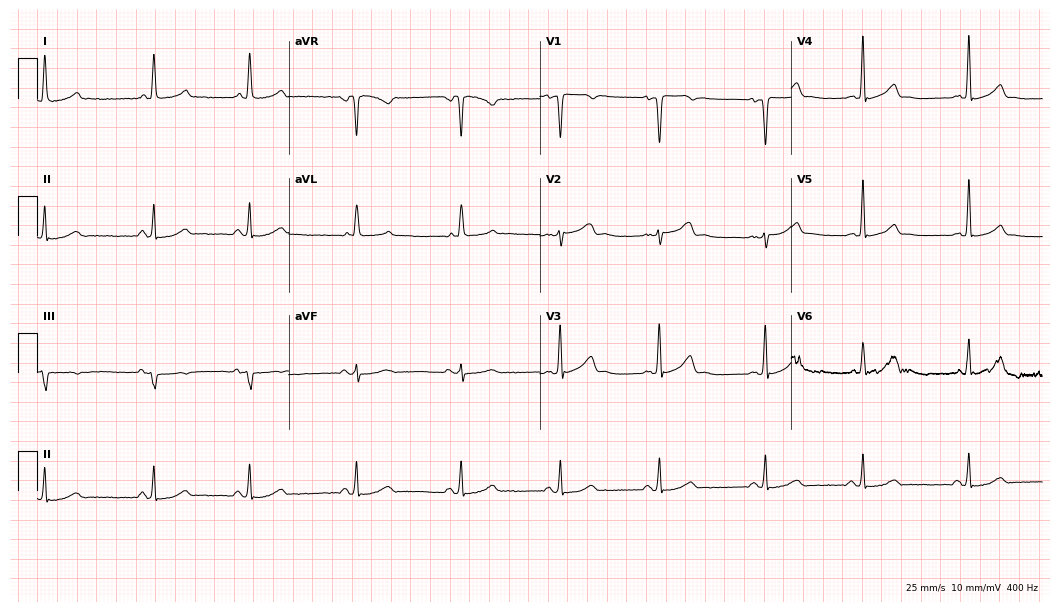
ECG (10.2-second recording at 400 Hz) — a female, 41 years old. Labelled as a normal ECG.